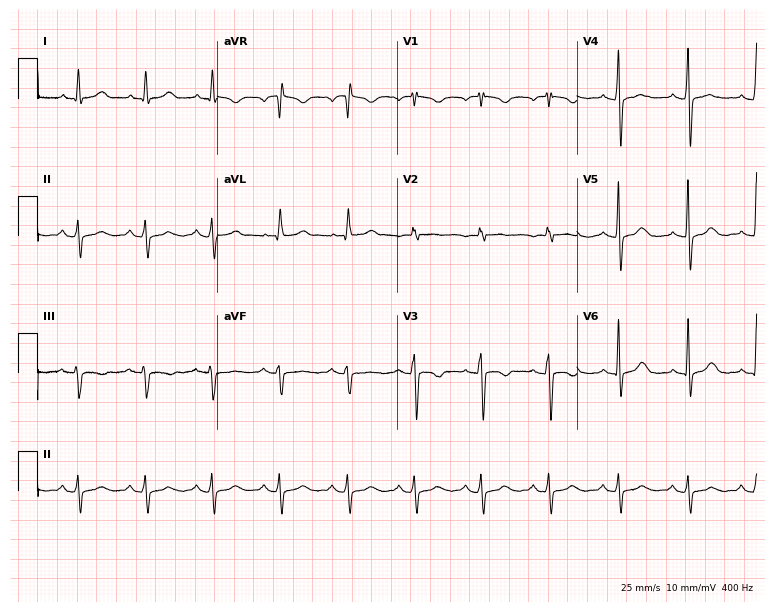
Standard 12-lead ECG recorded from a 52-year-old woman. None of these six findings is recorded: first-degree AV block, right bundle branch block (RBBB), left bundle branch block (LBBB), sinus bradycardia, atrial fibrillation (AF), sinus tachycardia.